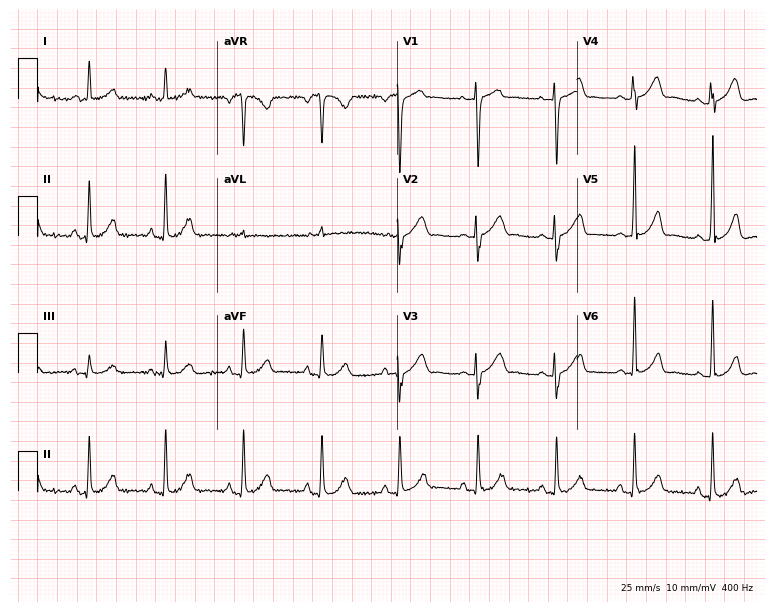
12-lead ECG from an 82-year-old woman. Screened for six findings — first-degree AV block, right bundle branch block, left bundle branch block, sinus bradycardia, atrial fibrillation, sinus tachycardia — none is recorded. Findings outside these six are not listed.